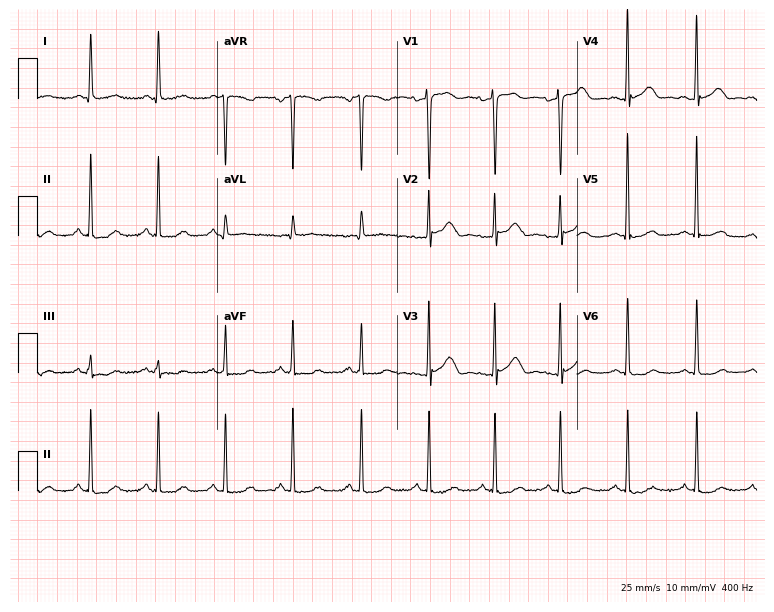
ECG (7.3-second recording at 400 Hz) — a 47-year-old female. Screened for six findings — first-degree AV block, right bundle branch block (RBBB), left bundle branch block (LBBB), sinus bradycardia, atrial fibrillation (AF), sinus tachycardia — none is recorded. Findings outside these six are not listed.